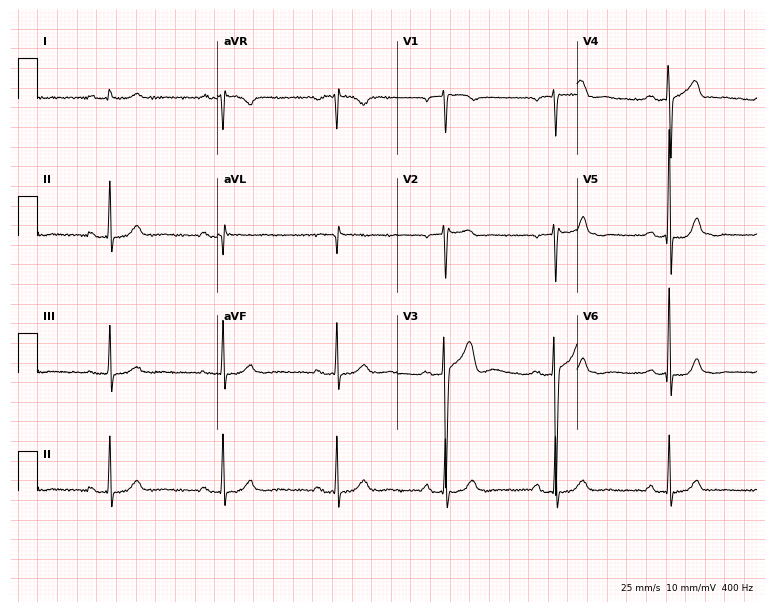
12-lead ECG from a female patient, 54 years old (7.3-second recording at 400 Hz). Recorded interpretation: within normal limits.